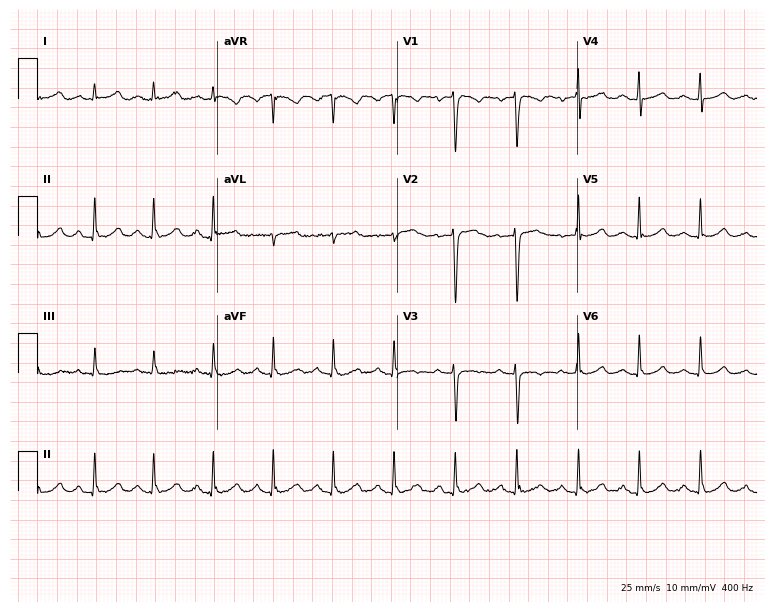
Electrocardiogram (7.3-second recording at 400 Hz), a female, 47 years old. Overall reading on record: normal ECG.